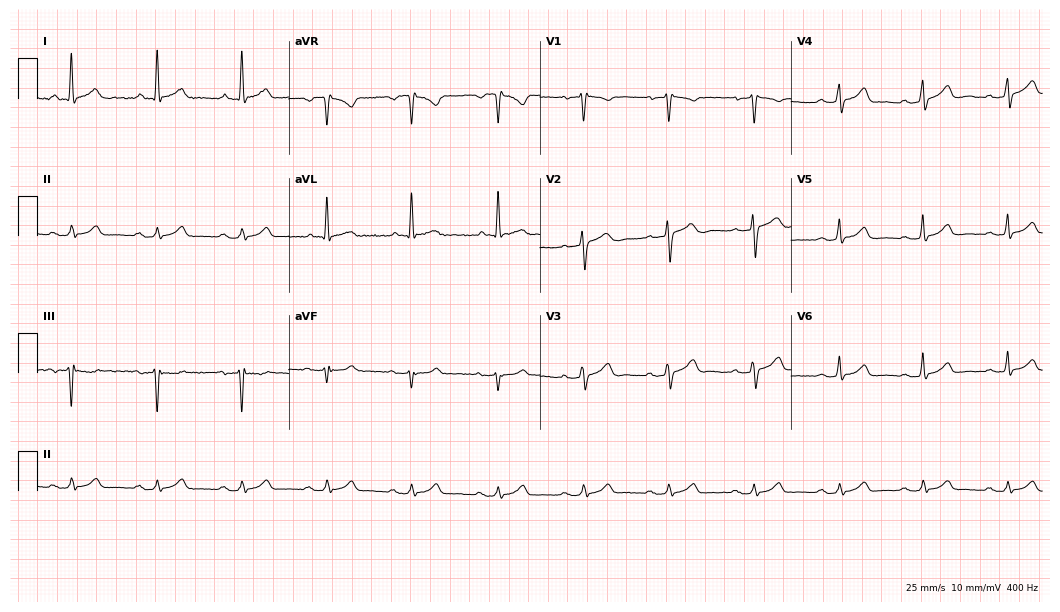
12-lead ECG (10.2-second recording at 400 Hz) from a 62-year-old male. Labelled as a normal ECG.